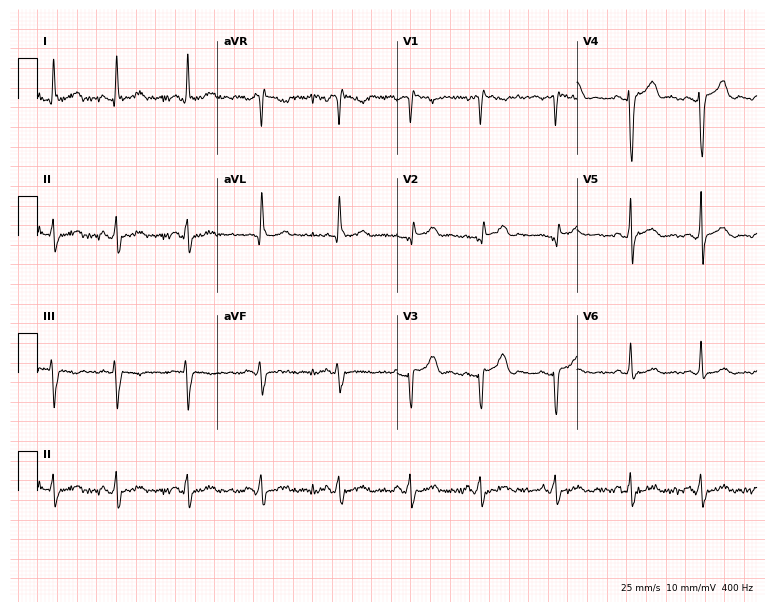
Electrocardiogram (7.3-second recording at 400 Hz), a 29-year-old male. Of the six screened findings (first-degree AV block, right bundle branch block, left bundle branch block, sinus bradycardia, atrial fibrillation, sinus tachycardia), none is recorded. Only these six findings were labelled.